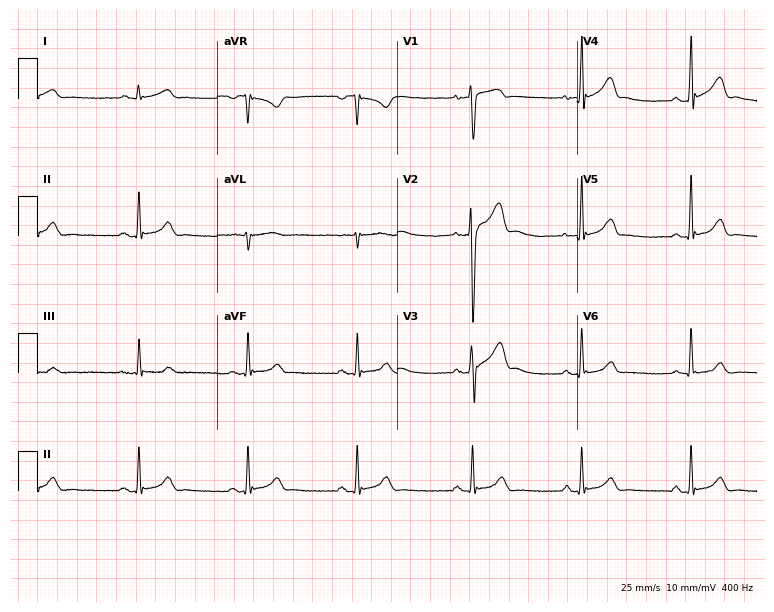
Standard 12-lead ECG recorded from a 21-year-old man. Read as a normal ECG.